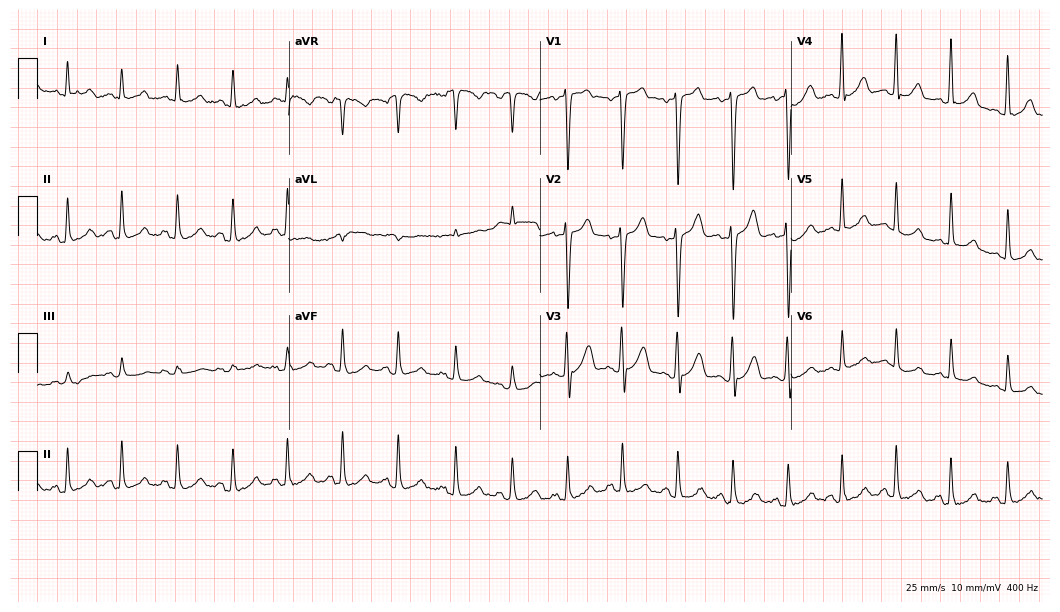
Standard 12-lead ECG recorded from a 30-year-old man. The tracing shows sinus tachycardia (a sinus rate of 100 beats per minute or more).